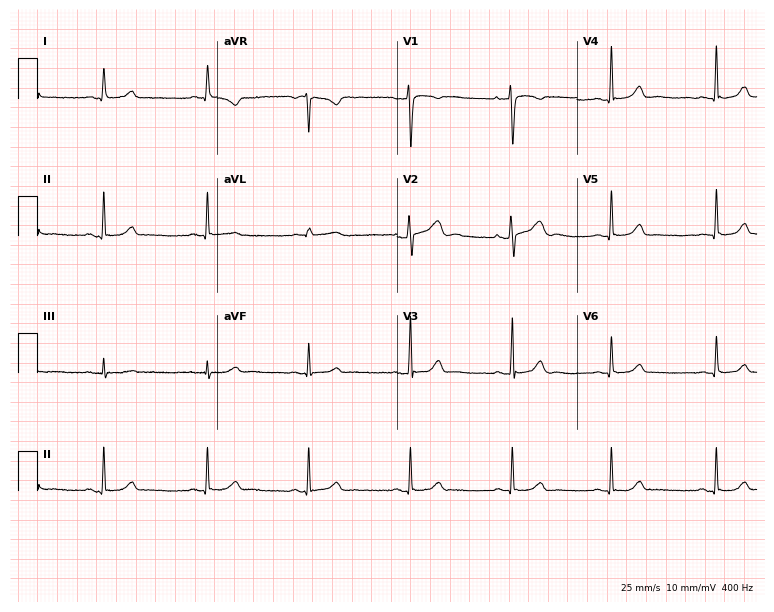
12-lead ECG from a 33-year-old female. Recorded interpretation: within normal limits.